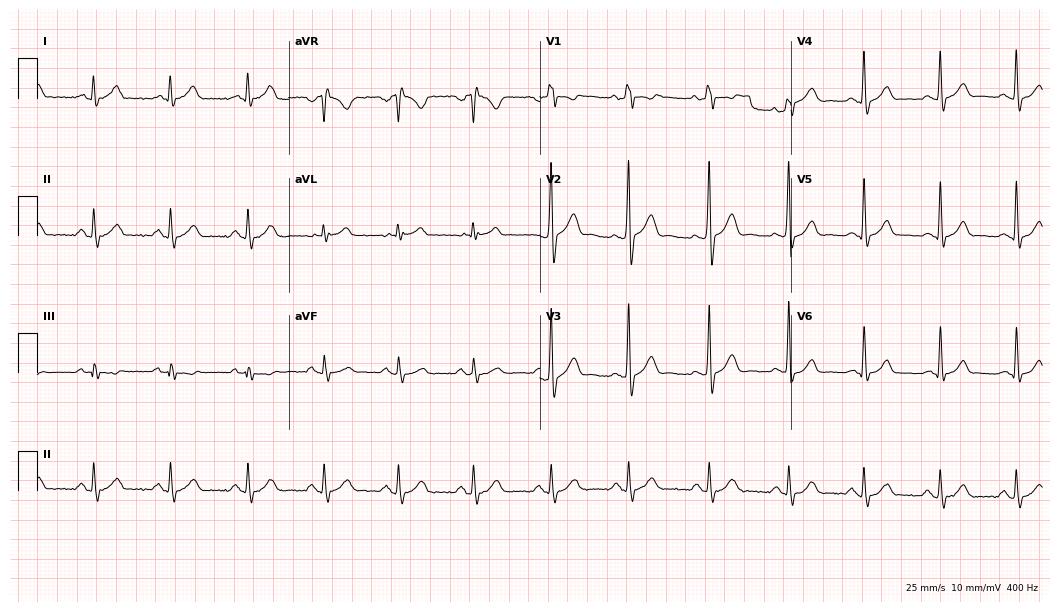
12-lead ECG from a 40-year-old male (10.2-second recording at 400 Hz). No first-degree AV block, right bundle branch block (RBBB), left bundle branch block (LBBB), sinus bradycardia, atrial fibrillation (AF) or sinus tachycardia recorded for this tracing. Only these six findings were labelled.